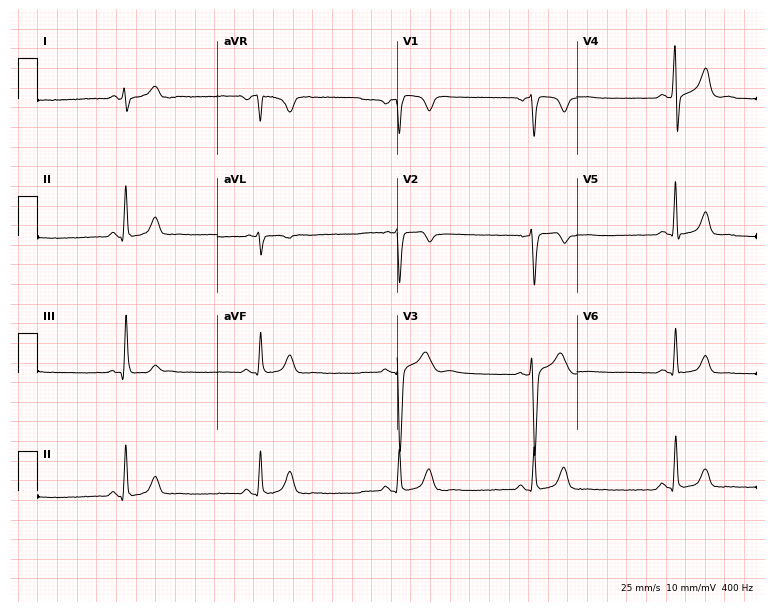
12-lead ECG from a 35-year-old male. Shows sinus bradycardia (a sinus rate of 50 beats per minute or less).